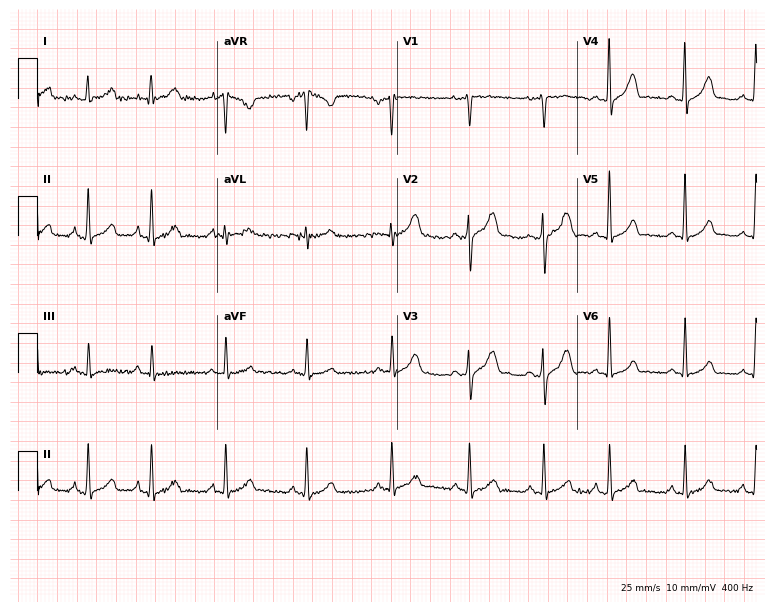
Electrocardiogram, a 33-year-old male patient. Overall reading on record: normal ECG.